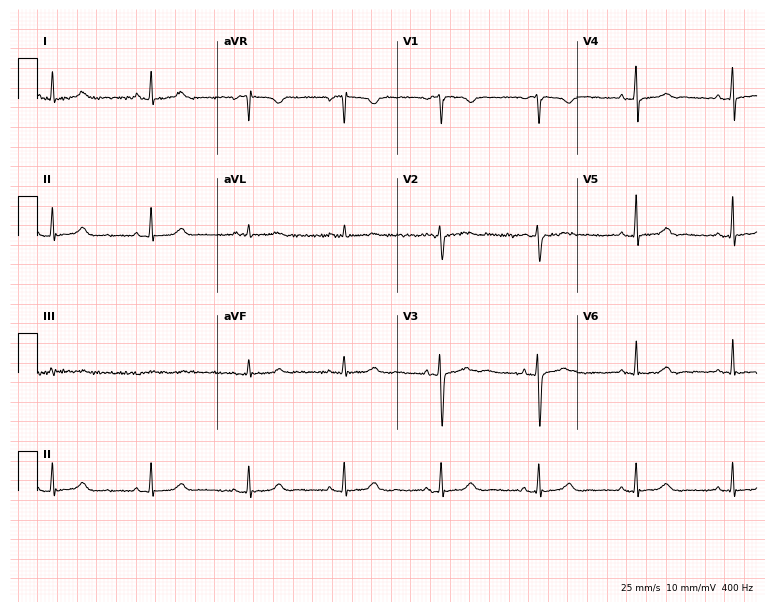
12-lead ECG (7.3-second recording at 400 Hz) from a woman, 40 years old. Screened for six findings — first-degree AV block, right bundle branch block, left bundle branch block, sinus bradycardia, atrial fibrillation, sinus tachycardia — none is recorded.